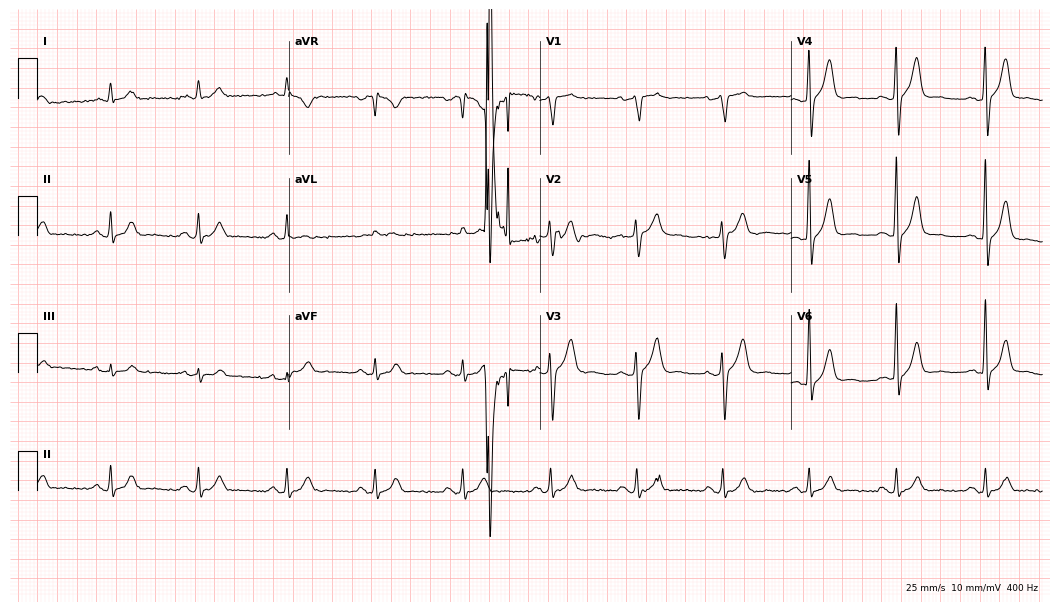
12-lead ECG (10.2-second recording at 400 Hz) from a male, 73 years old. Labelled as a normal ECG.